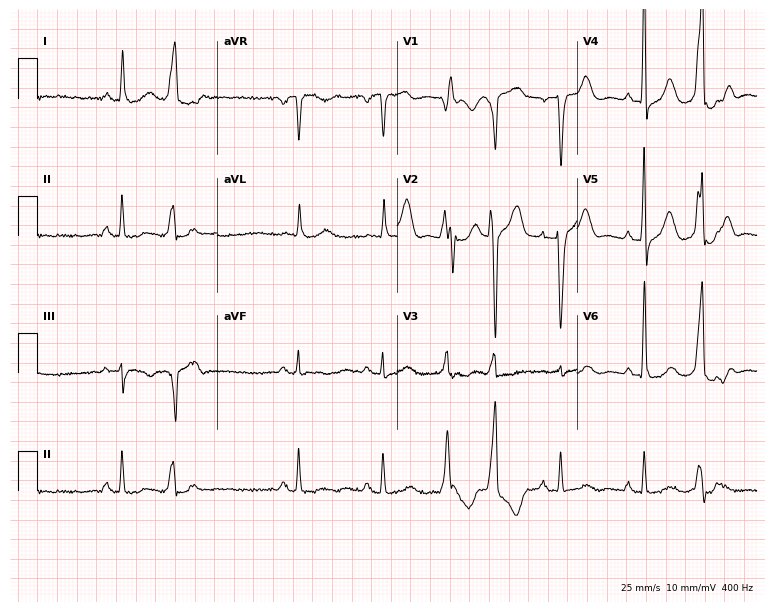
Standard 12-lead ECG recorded from an 81-year-old man. None of these six findings is recorded: first-degree AV block, right bundle branch block (RBBB), left bundle branch block (LBBB), sinus bradycardia, atrial fibrillation (AF), sinus tachycardia. Only these six findings were labelled.